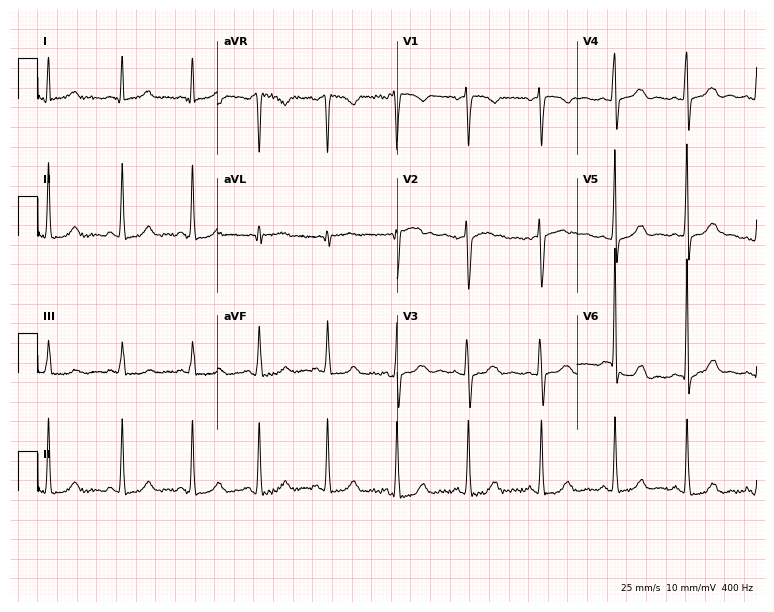
ECG — a female patient, 34 years old. Labelled as a normal ECG.